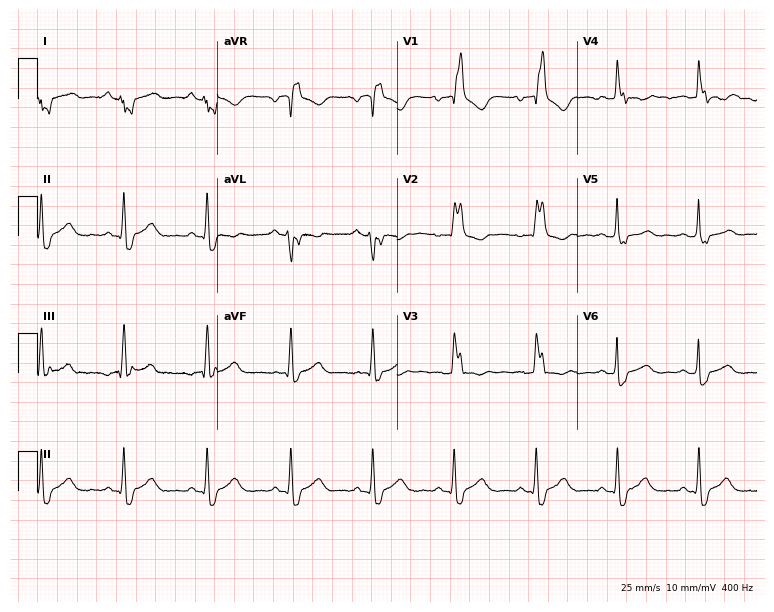
12-lead ECG from a female, 64 years old. Findings include right bundle branch block.